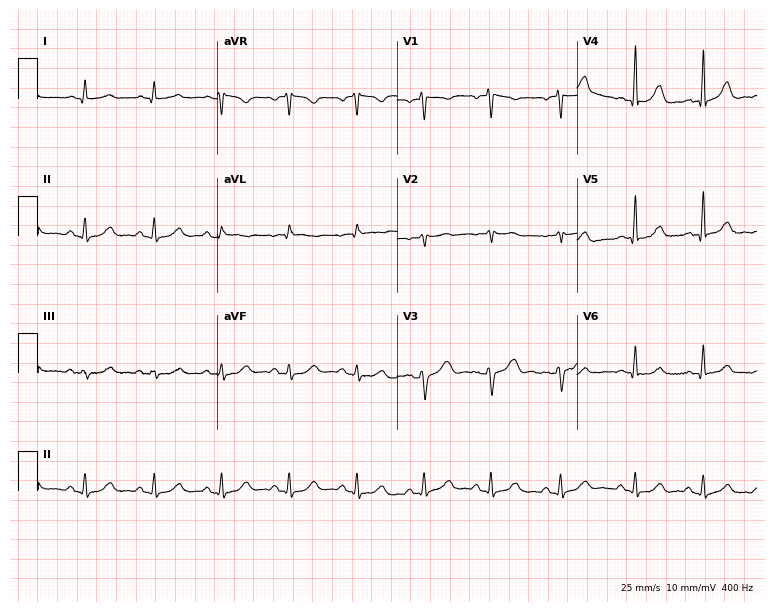
ECG (7.3-second recording at 400 Hz) — a female, 39 years old. Labelled as a normal ECG.